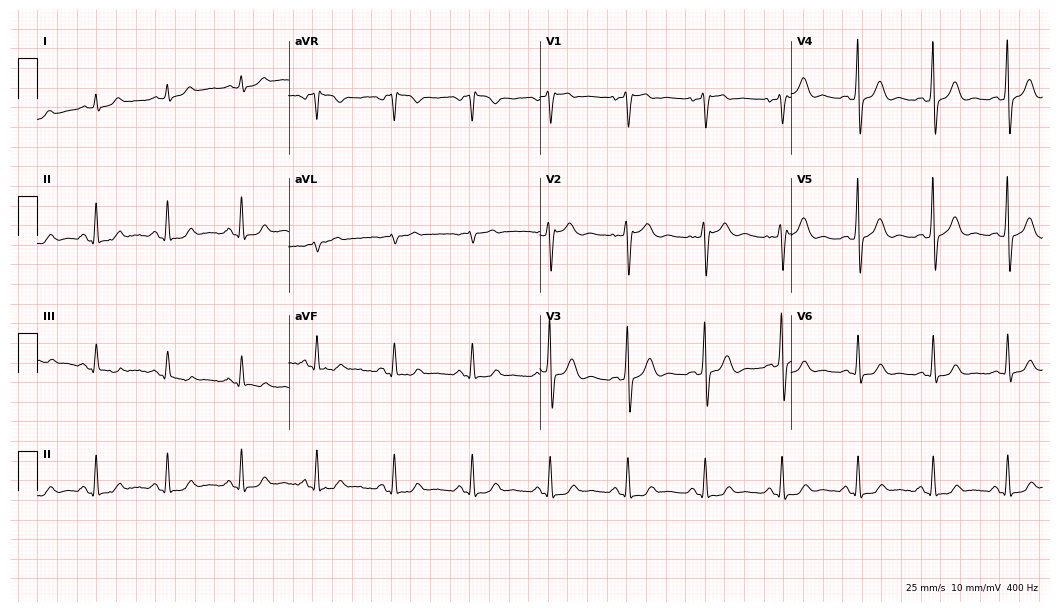
ECG — a man, 53 years old. Labelled as a normal ECG.